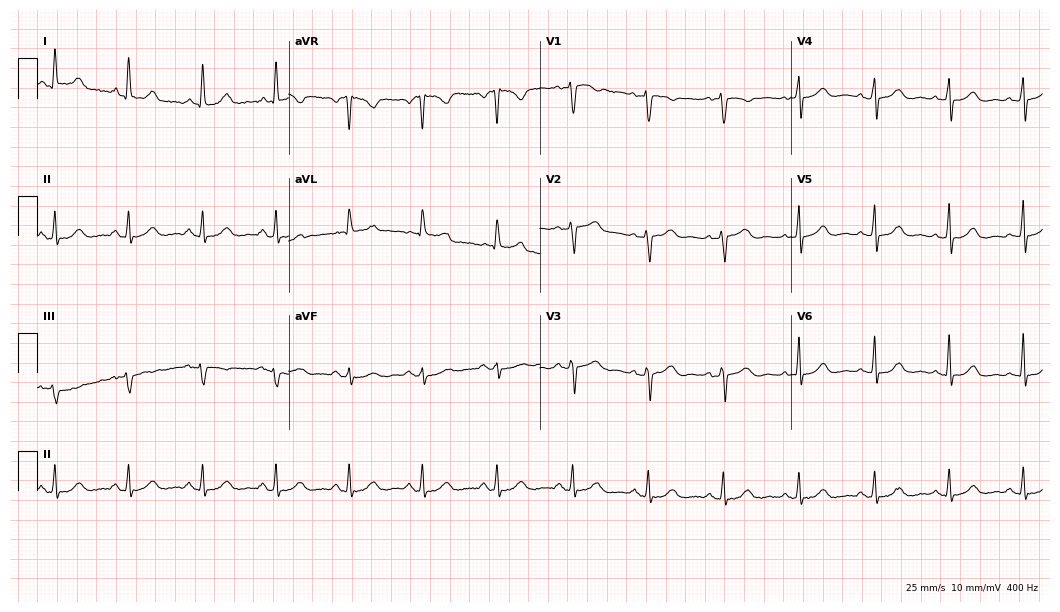
Resting 12-lead electrocardiogram (10.2-second recording at 400 Hz). Patient: a female, 64 years old. Read as a normal ECG.